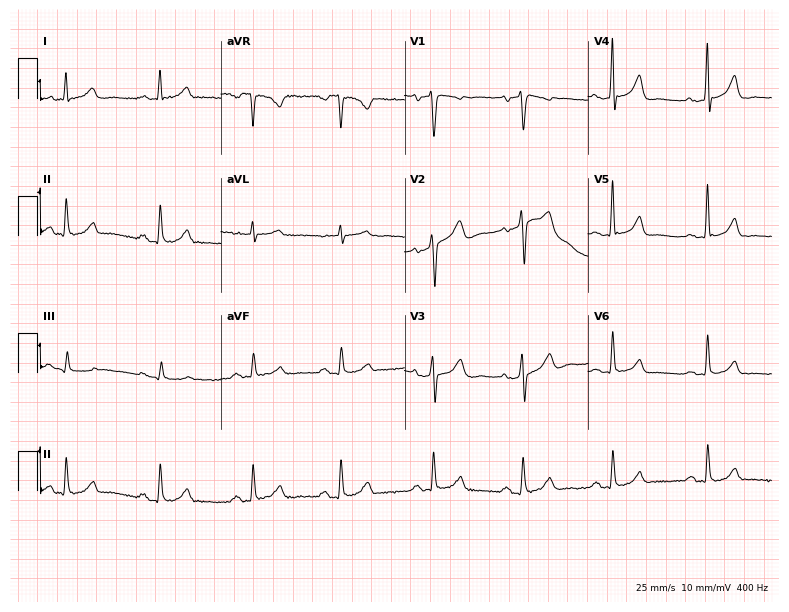
12-lead ECG from a 53-year-old female patient. Recorded interpretation: within normal limits.